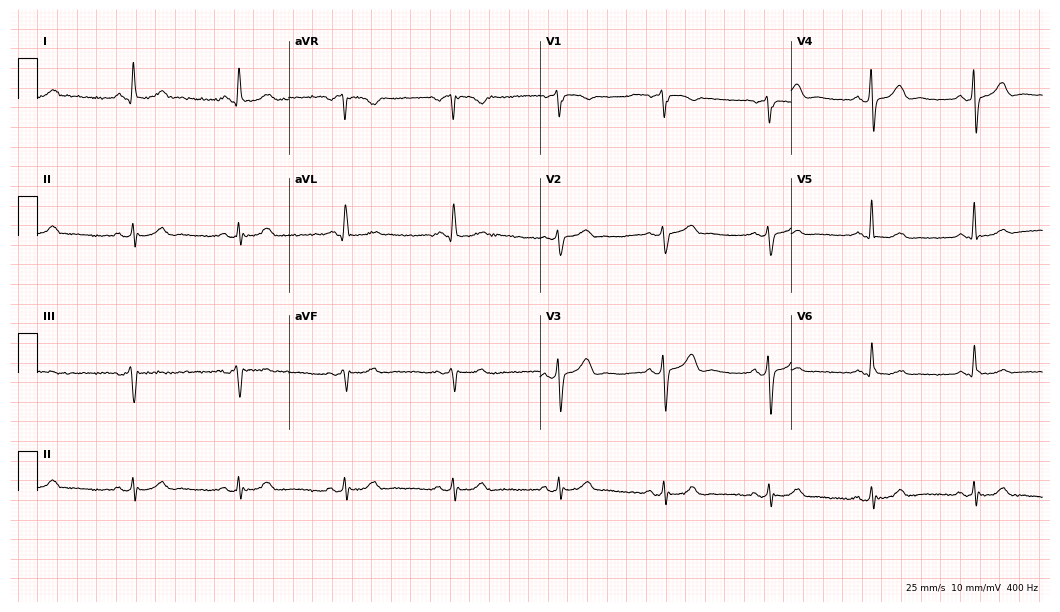
ECG (10.2-second recording at 400 Hz) — a woman, 73 years old. Screened for six findings — first-degree AV block, right bundle branch block (RBBB), left bundle branch block (LBBB), sinus bradycardia, atrial fibrillation (AF), sinus tachycardia — none is recorded.